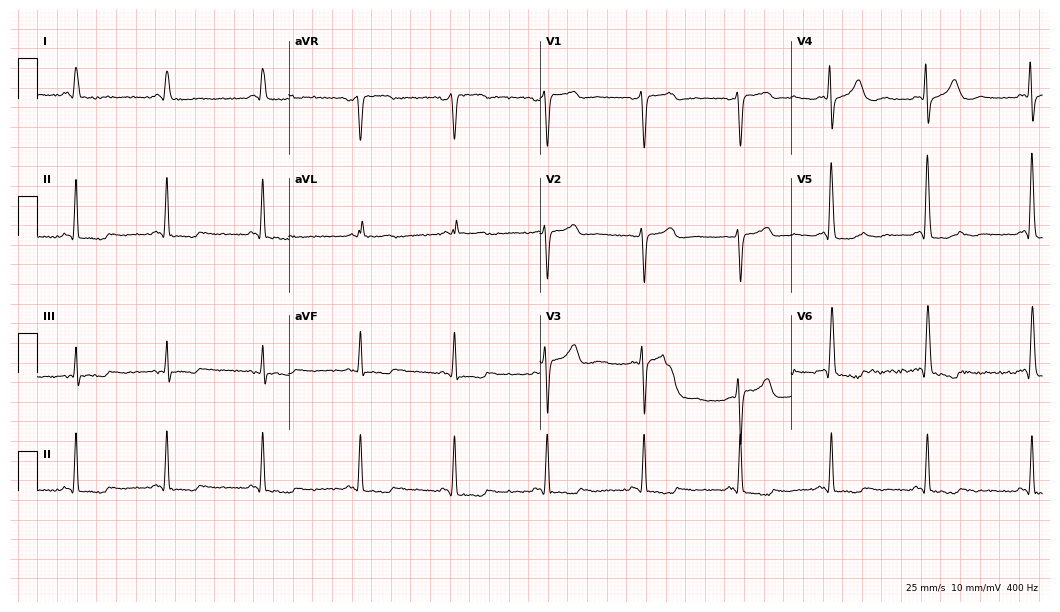
Resting 12-lead electrocardiogram. Patient: a 79-year-old female. None of these six findings is recorded: first-degree AV block, right bundle branch block, left bundle branch block, sinus bradycardia, atrial fibrillation, sinus tachycardia.